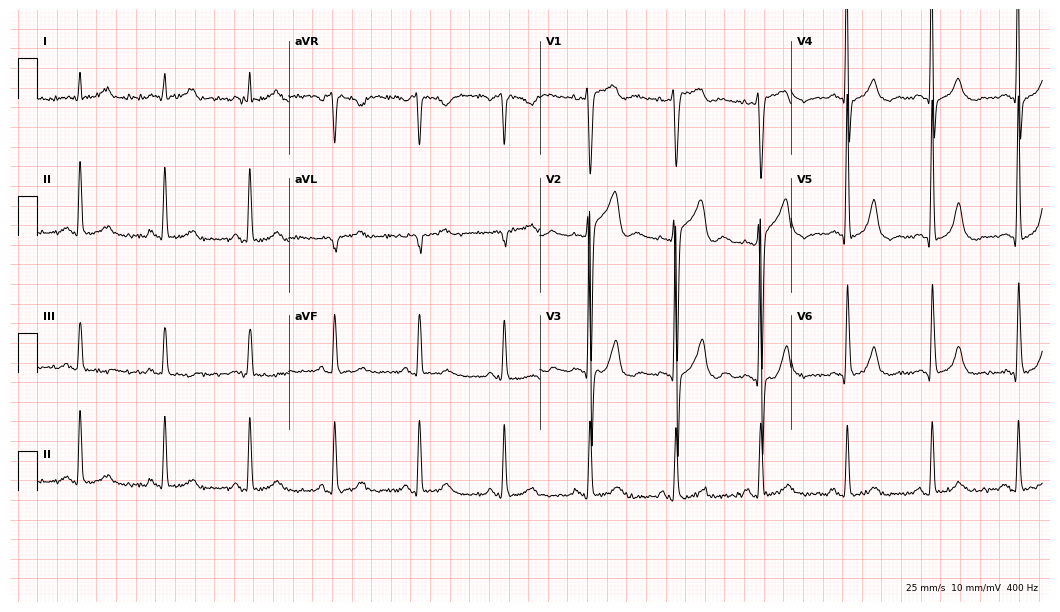
Electrocardiogram, a 71-year-old male patient. Of the six screened findings (first-degree AV block, right bundle branch block, left bundle branch block, sinus bradycardia, atrial fibrillation, sinus tachycardia), none is recorded.